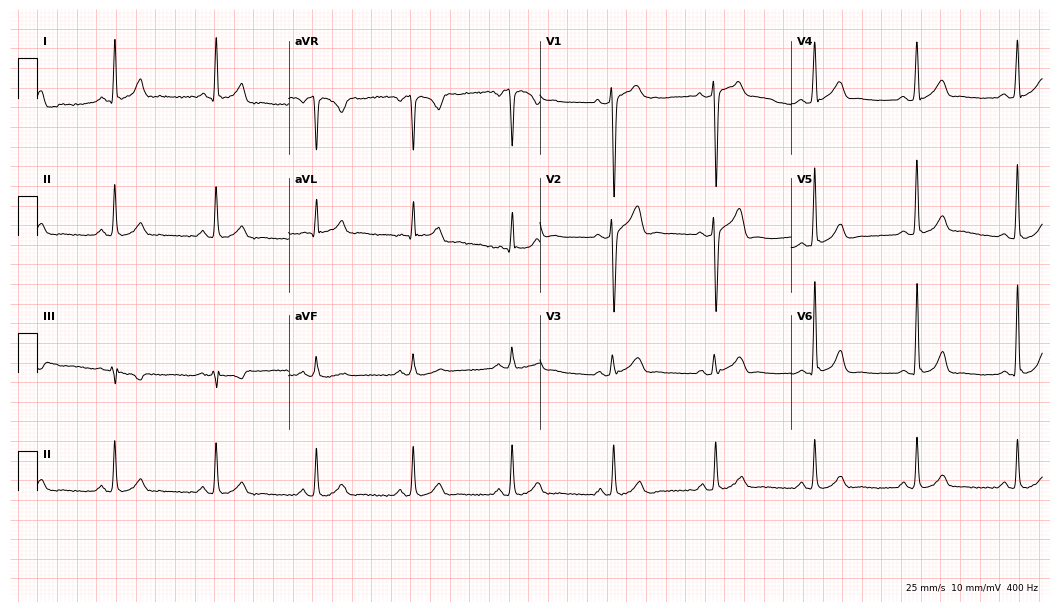
12-lead ECG from a man, 51 years old. Labelled as a normal ECG.